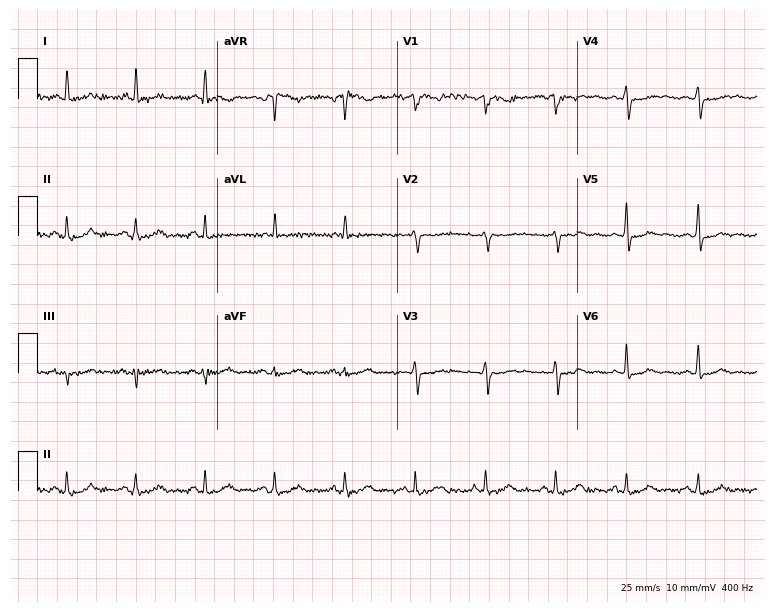
Resting 12-lead electrocardiogram (7.3-second recording at 400 Hz). Patient: a 65-year-old woman. None of these six findings is recorded: first-degree AV block, right bundle branch block (RBBB), left bundle branch block (LBBB), sinus bradycardia, atrial fibrillation (AF), sinus tachycardia.